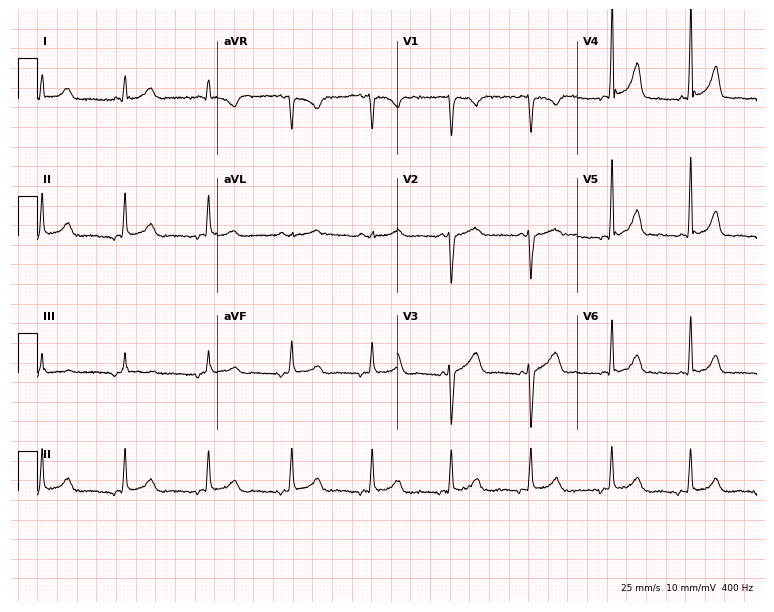
12-lead ECG from a 24-year-old woman. No first-degree AV block, right bundle branch block, left bundle branch block, sinus bradycardia, atrial fibrillation or sinus tachycardia recorded for this tracing.